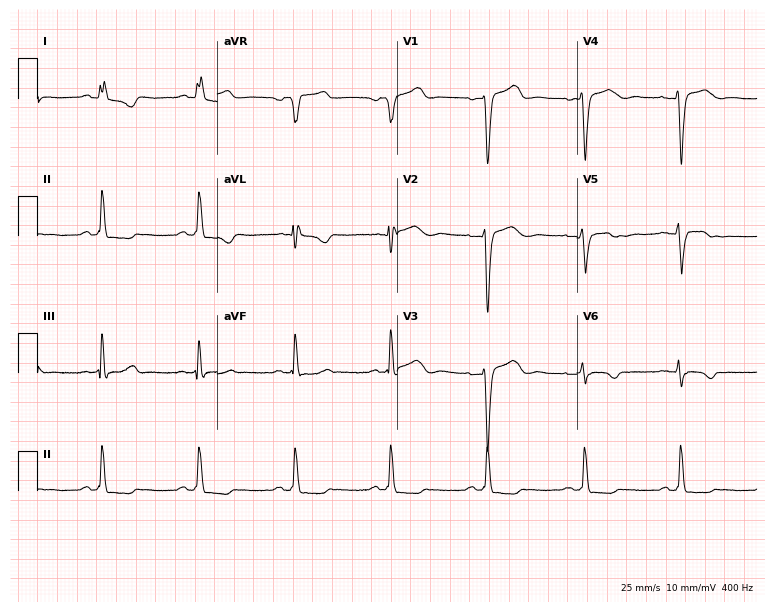
Standard 12-lead ECG recorded from a 78-year-old woman (7.3-second recording at 400 Hz). None of these six findings is recorded: first-degree AV block, right bundle branch block (RBBB), left bundle branch block (LBBB), sinus bradycardia, atrial fibrillation (AF), sinus tachycardia.